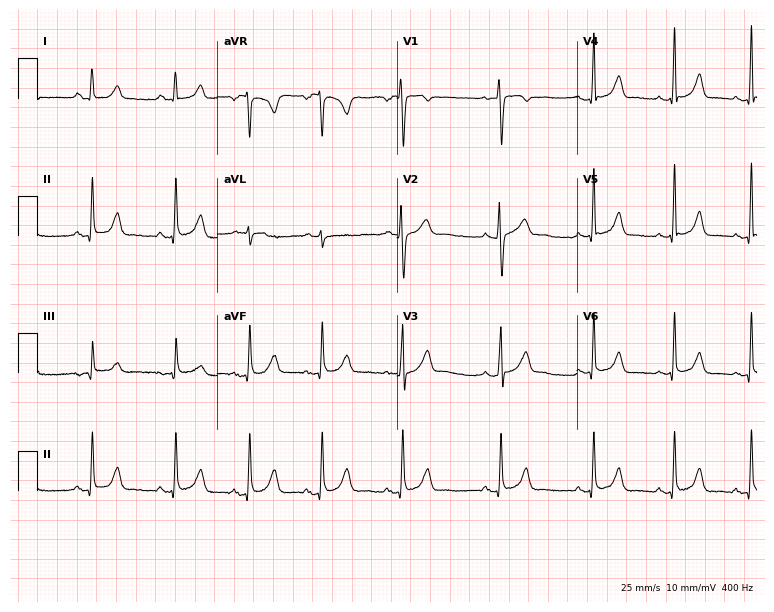
12-lead ECG from a 41-year-old female. Labelled as a normal ECG.